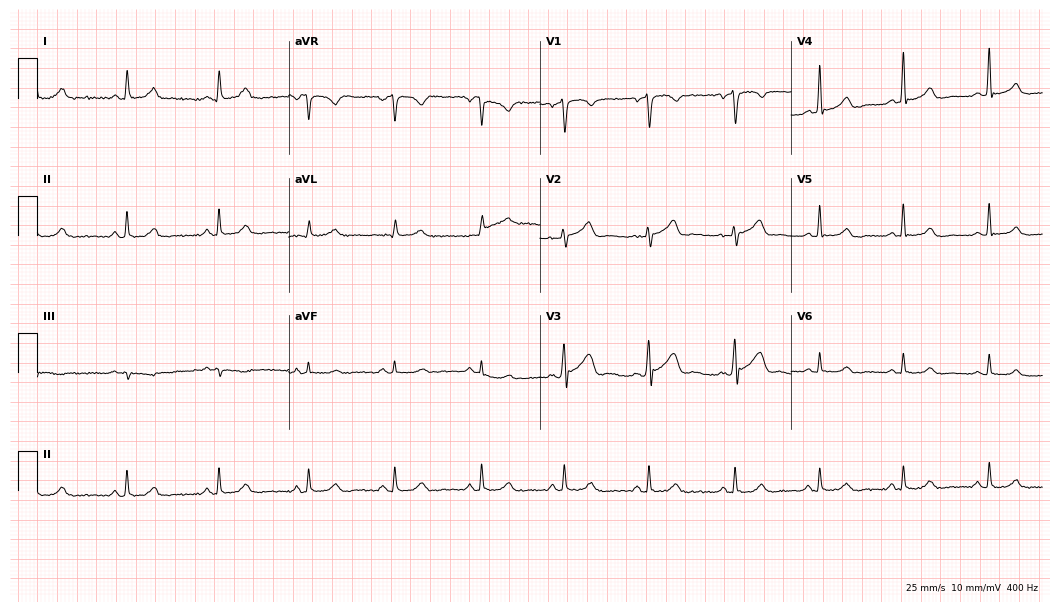
Electrocardiogram, a 44-year-old male. Overall reading on record: normal ECG.